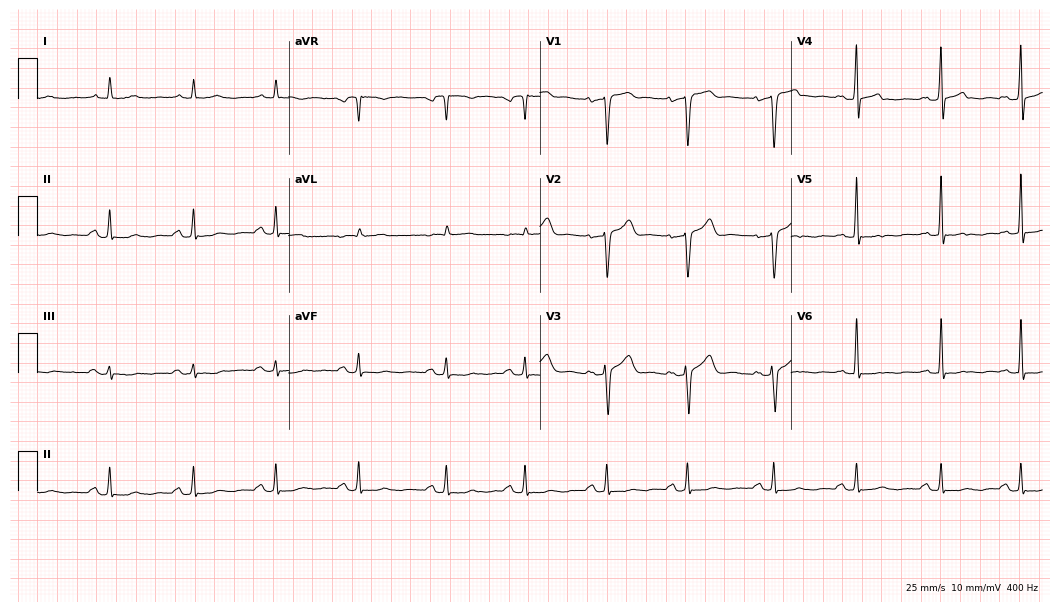
Electrocardiogram (10.2-second recording at 400 Hz), a 57-year-old male patient. Of the six screened findings (first-degree AV block, right bundle branch block, left bundle branch block, sinus bradycardia, atrial fibrillation, sinus tachycardia), none is recorded. Other findings, if any, are not listed.